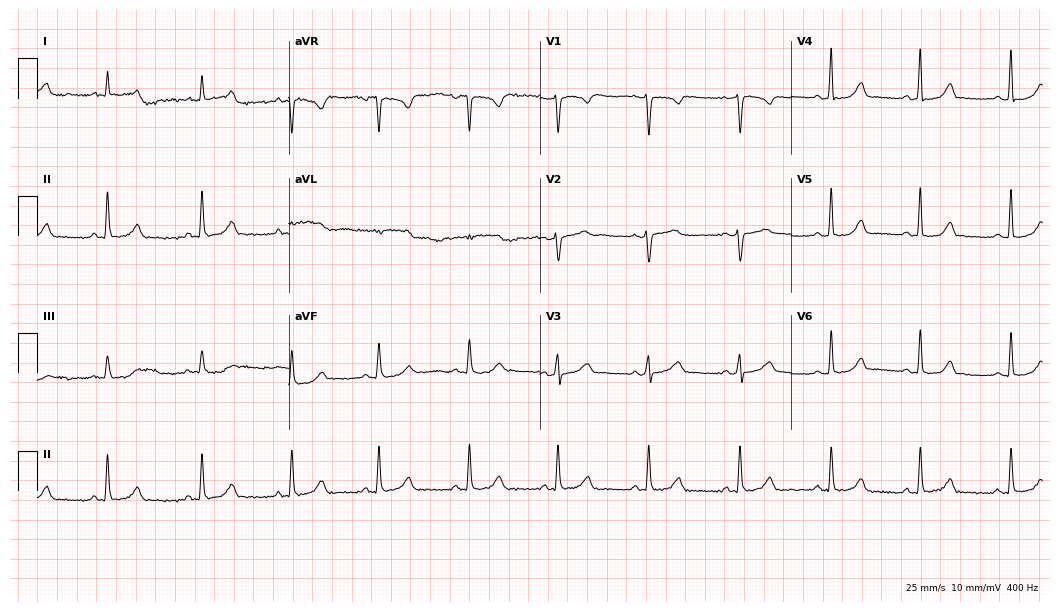
ECG — a woman, 39 years old. Labelled as a normal ECG.